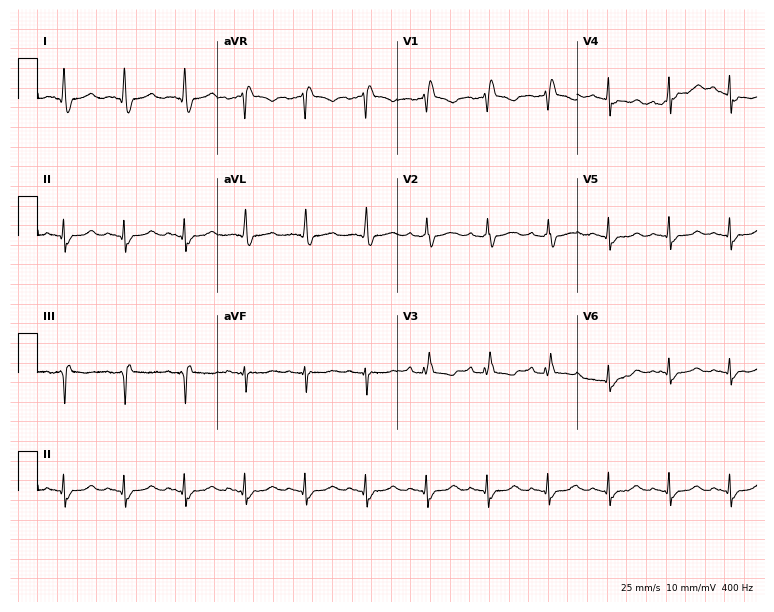
Resting 12-lead electrocardiogram (7.3-second recording at 400 Hz). Patient: a 76-year-old female. The tracing shows right bundle branch block (RBBB).